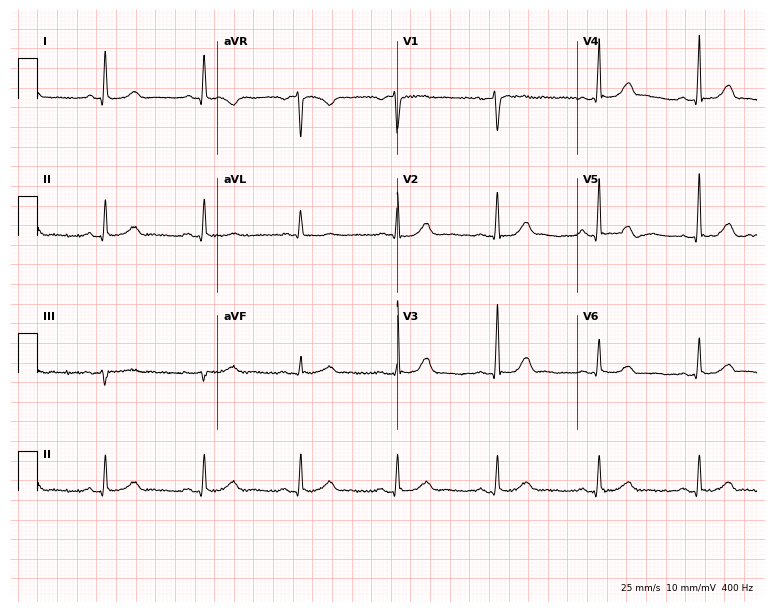
12-lead ECG from a female patient, 52 years old (7.3-second recording at 400 Hz). Recorded interpretation: within normal limits.